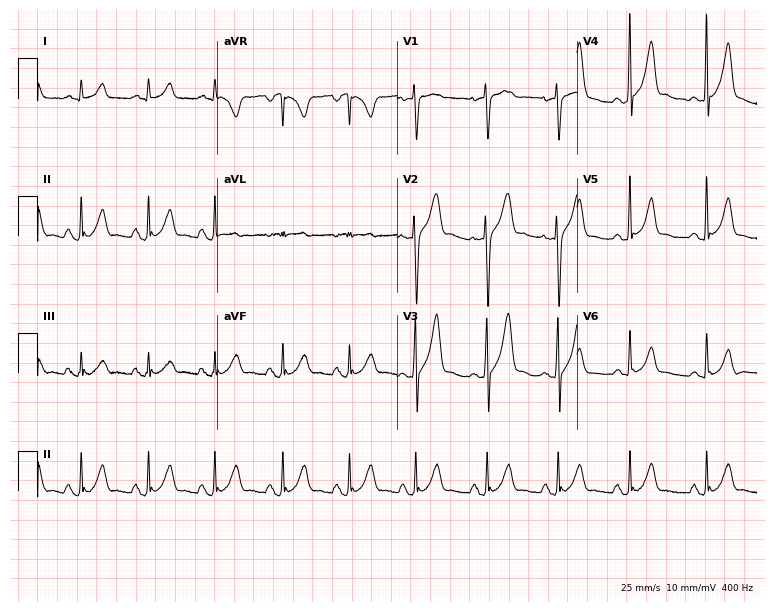
12-lead ECG from a man, 19 years old (7.3-second recording at 400 Hz). No first-degree AV block, right bundle branch block, left bundle branch block, sinus bradycardia, atrial fibrillation or sinus tachycardia recorded for this tracing.